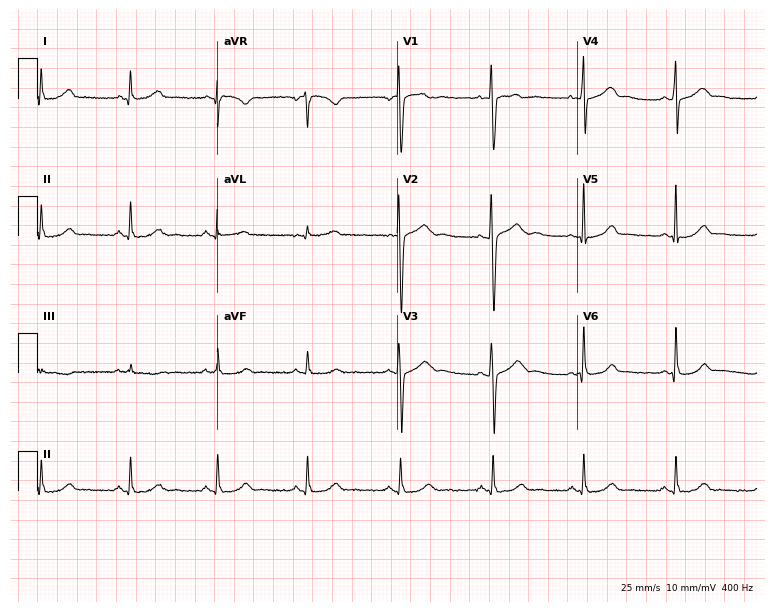
Standard 12-lead ECG recorded from a woman, 34 years old (7.3-second recording at 400 Hz). Read as a normal ECG.